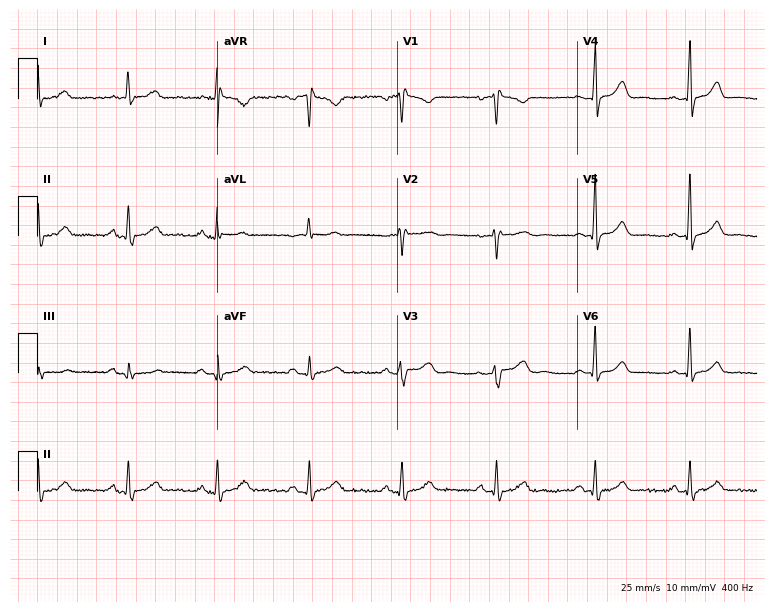
Electrocardiogram (7.3-second recording at 400 Hz), a female patient, 52 years old. Of the six screened findings (first-degree AV block, right bundle branch block, left bundle branch block, sinus bradycardia, atrial fibrillation, sinus tachycardia), none is recorded. Other findings, if any, are not listed.